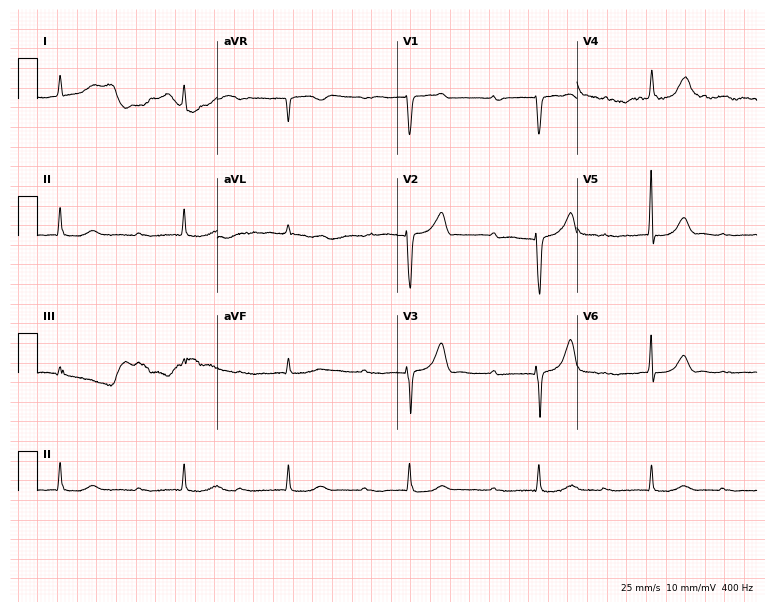
Electrocardiogram, a male patient, 75 years old. Of the six screened findings (first-degree AV block, right bundle branch block, left bundle branch block, sinus bradycardia, atrial fibrillation, sinus tachycardia), none is recorded. Only these six findings were labelled.